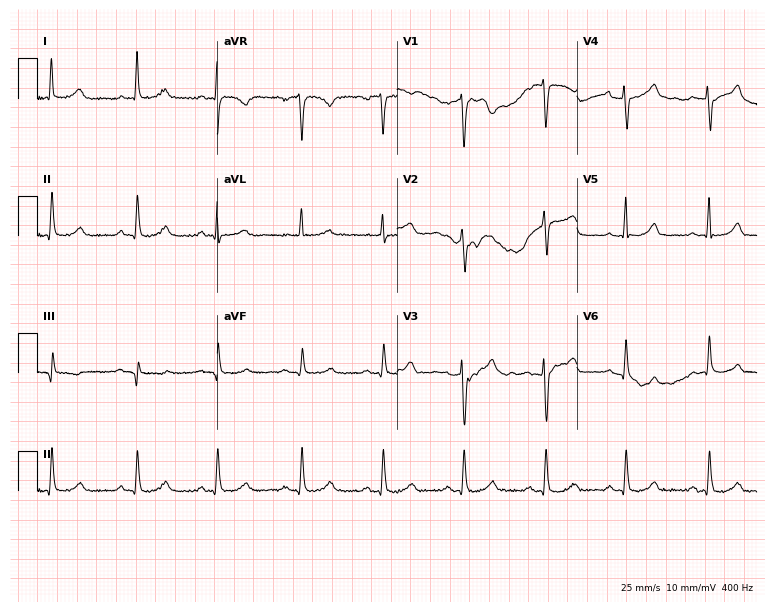
12-lead ECG from a 53-year-old female. Recorded interpretation: within normal limits.